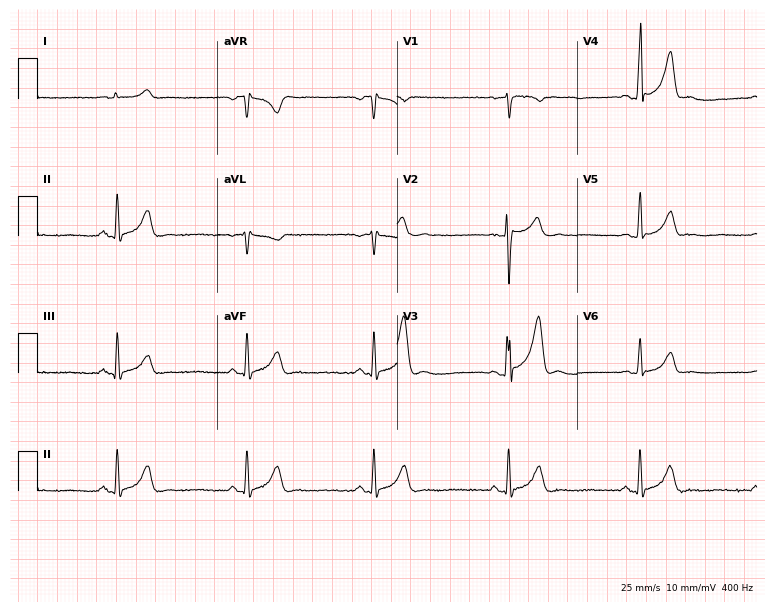
12-lead ECG from a male, 20 years old. Shows sinus bradycardia (a sinus rate of 50 beats per minute or less).